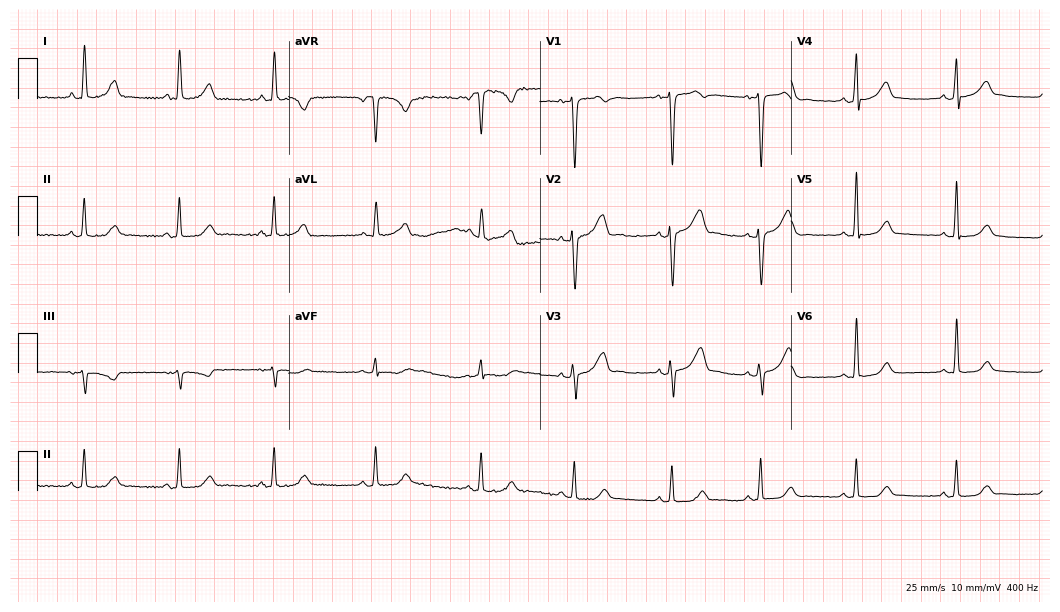
12-lead ECG (10.2-second recording at 400 Hz) from a woman, 37 years old. Labelled as a normal ECG.